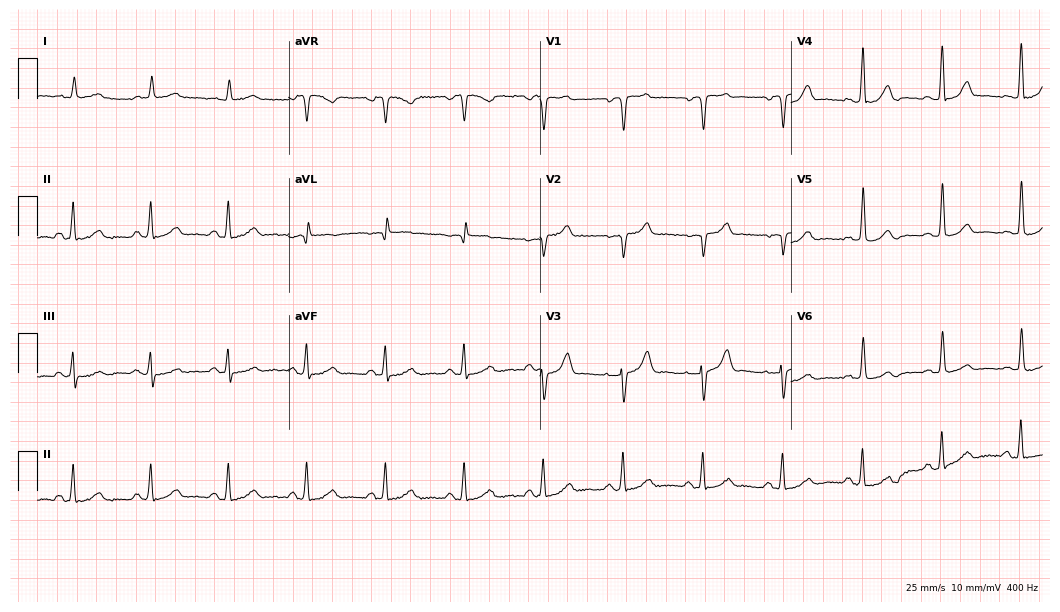
Resting 12-lead electrocardiogram (10.2-second recording at 400 Hz). Patient: a male, 74 years old. Read as a normal ECG.